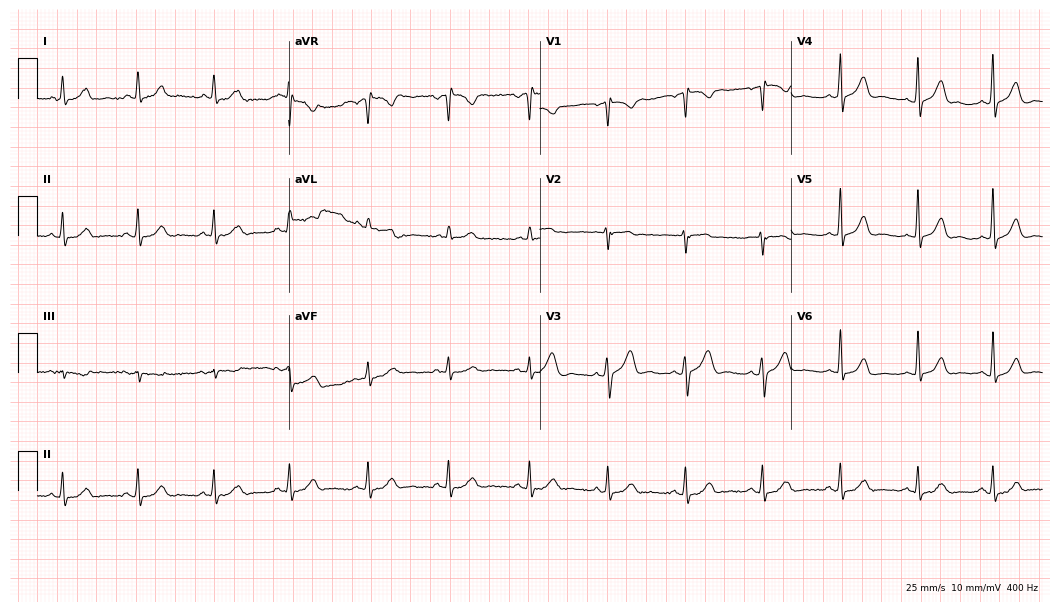
Electrocardiogram (10.2-second recording at 400 Hz), a female, 28 years old. Of the six screened findings (first-degree AV block, right bundle branch block (RBBB), left bundle branch block (LBBB), sinus bradycardia, atrial fibrillation (AF), sinus tachycardia), none is recorded.